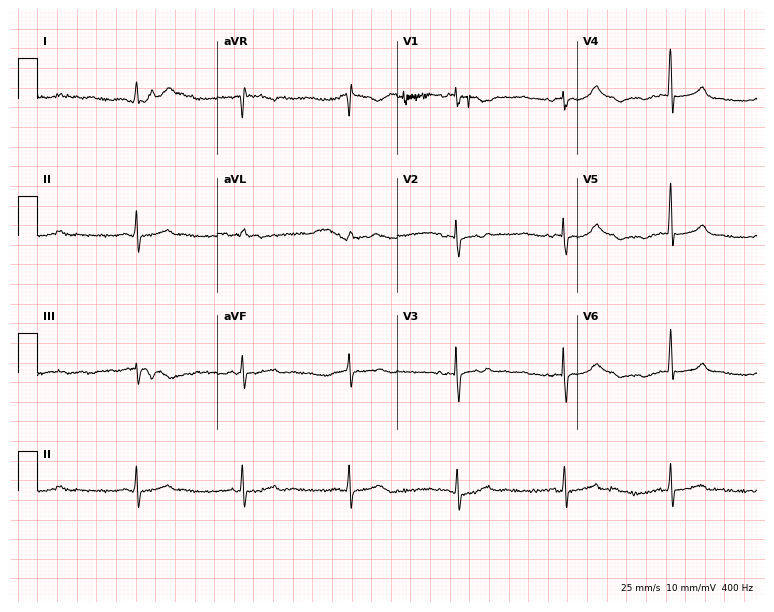
12-lead ECG (7.3-second recording at 400 Hz) from an 85-year-old male patient. Screened for six findings — first-degree AV block, right bundle branch block, left bundle branch block, sinus bradycardia, atrial fibrillation, sinus tachycardia — none is recorded. Findings outside these six are not listed.